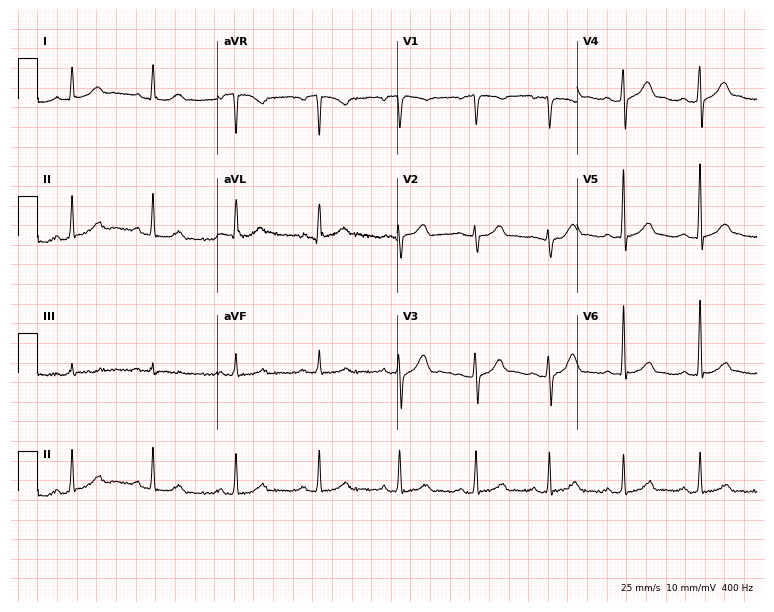
12-lead ECG (7.3-second recording at 400 Hz) from a male patient, 28 years old. Screened for six findings — first-degree AV block, right bundle branch block (RBBB), left bundle branch block (LBBB), sinus bradycardia, atrial fibrillation (AF), sinus tachycardia — none is recorded.